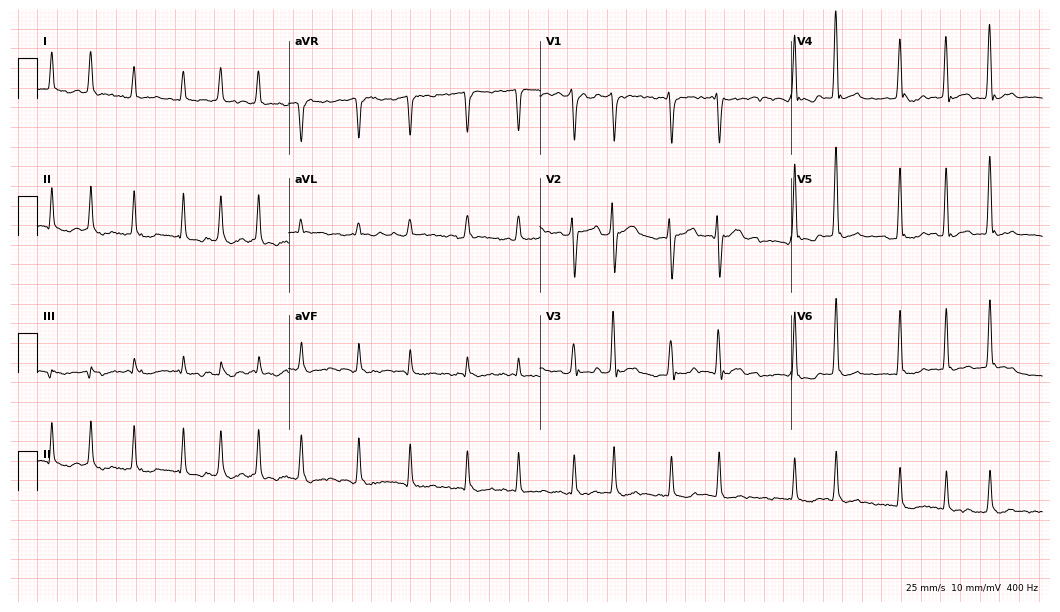
12-lead ECG (10.2-second recording at 400 Hz) from a 33-year-old man. Findings include atrial fibrillation.